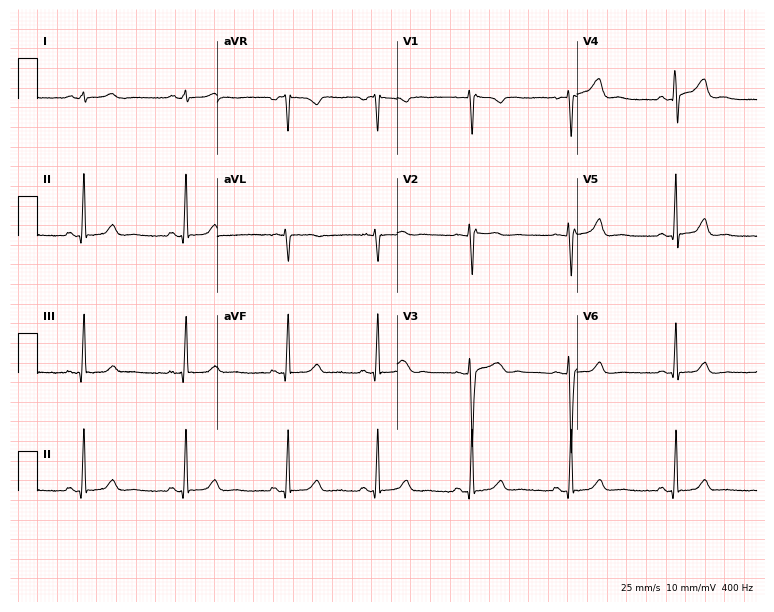
Electrocardiogram (7.3-second recording at 400 Hz), a 24-year-old female patient. Of the six screened findings (first-degree AV block, right bundle branch block (RBBB), left bundle branch block (LBBB), sinus bradycardia, atrial fibrillation (AF), sinus tachycardia), none is recorded.